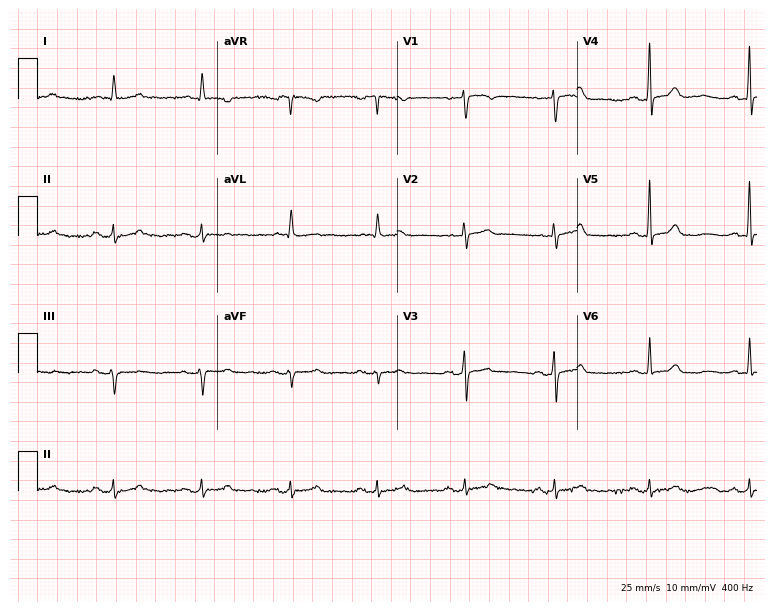
Standard 12-lead ECG recorded from an 84-year-old female patient (7.3-second recording at 400 Hz). None of these six findings is recorded: first-degree AV block, right bundle branch block, left bundle branch block, sinus bradycardia, atrial fibrillation, sinus tachycardia.